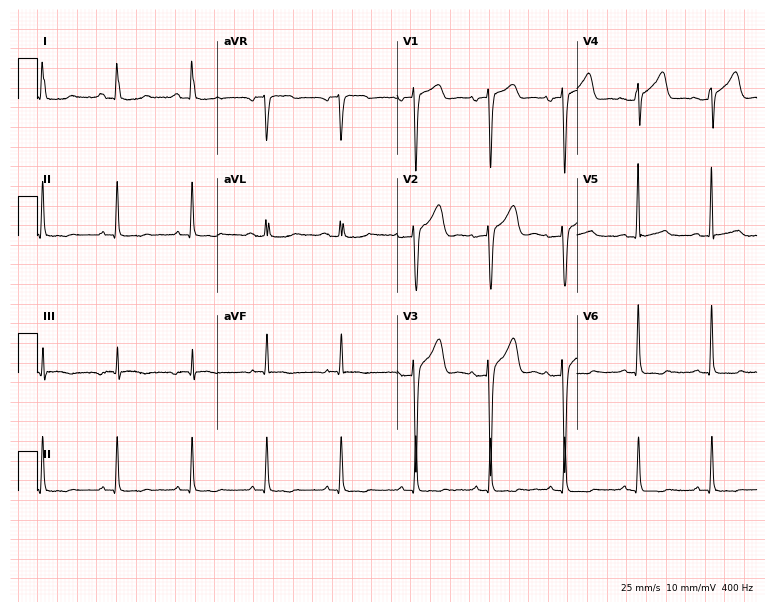
12-lead ECG (7.3-second recording at 400 Hz) from a male patient, 82 years old. Screened for six findings — first-degree AV block, right bundle branch block (RBBB), left bundle branch block (LBBB), sinus bradycardia, atrial fibrillation (AF), sinus tachycardia — none is recorded. Only these six findings were labelled.